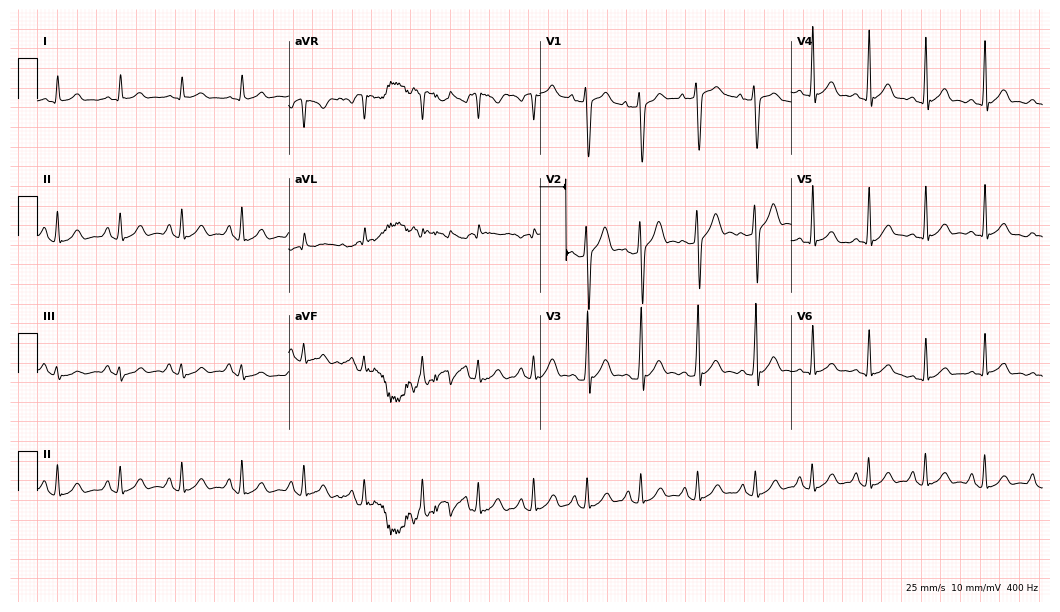
Standard 12-lead ECG recorded from a 21-year-old male (10.2-second recording at 400 Hz). None of these six findings is recorded: first-degree AV block, right bundle branch block, left bundle branch block, sinus bradycardia, atrial fibrillation, sinus tachycardia.